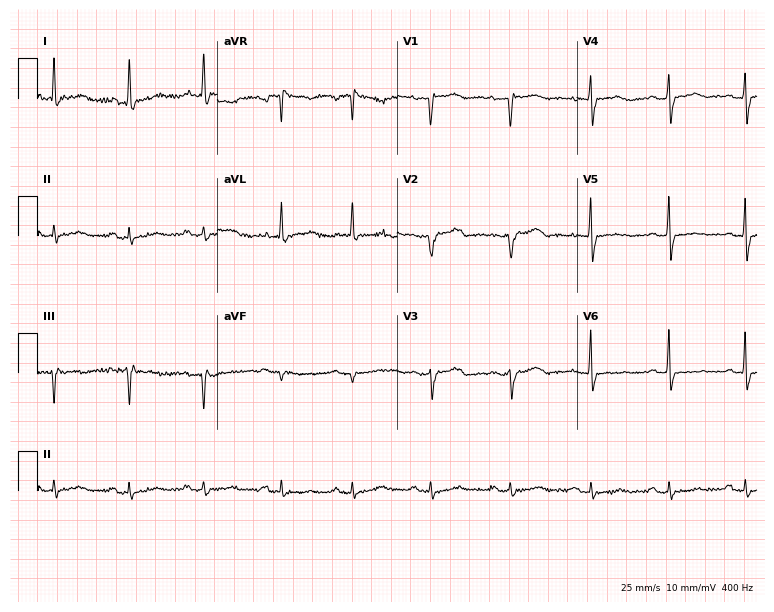
Standard 12-lead ECG recorded from a 78-year-old female (7.3-second recording at 400 Hz). Read as a normal ECG.